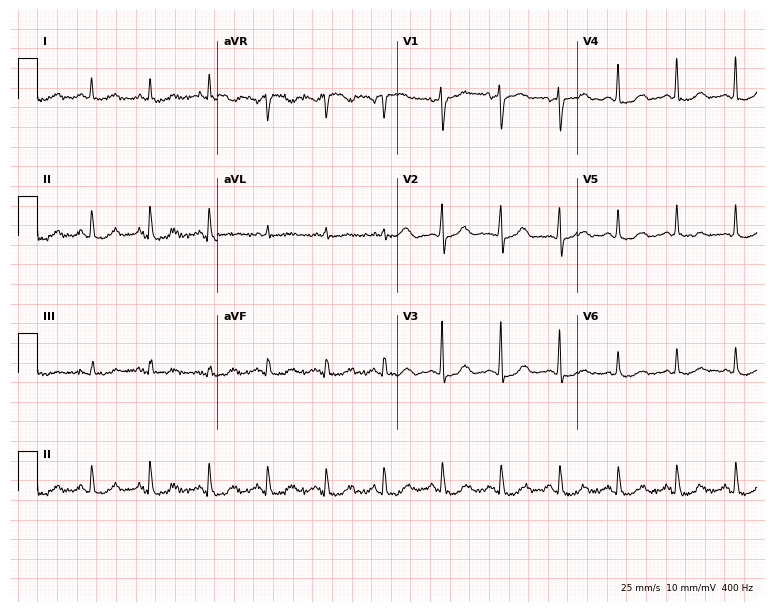
Electrocardiogram (7.3-second recording at 400 Hz), a 76-year-old female patient. Interpretation includes sinus tachycardia (a sinus rate of 100 beats per minute or more).